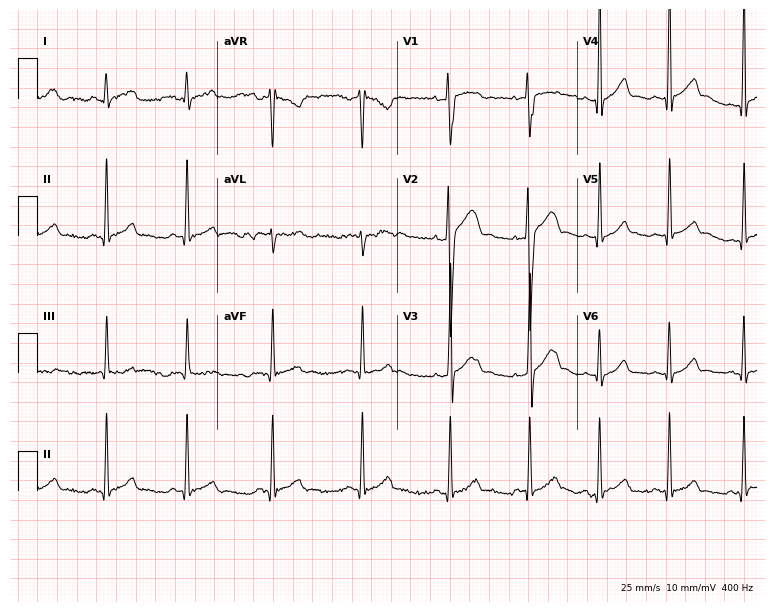
ECG (7.3-second recording at 400 Hz) — a 17-year-old male patient. Labelled as a normal ECG.